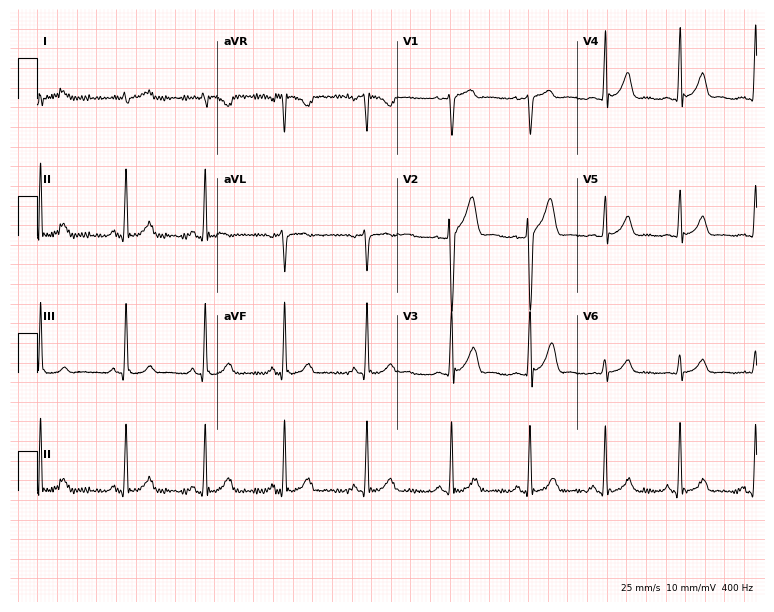
ECG — a 22-year-old male patient. Screened for six findings — first-degree AV block, right bundle branch block, left bundle branch block, sinus bradycardia, atrial fibrillation, sinus tachycardia — none is recorded.